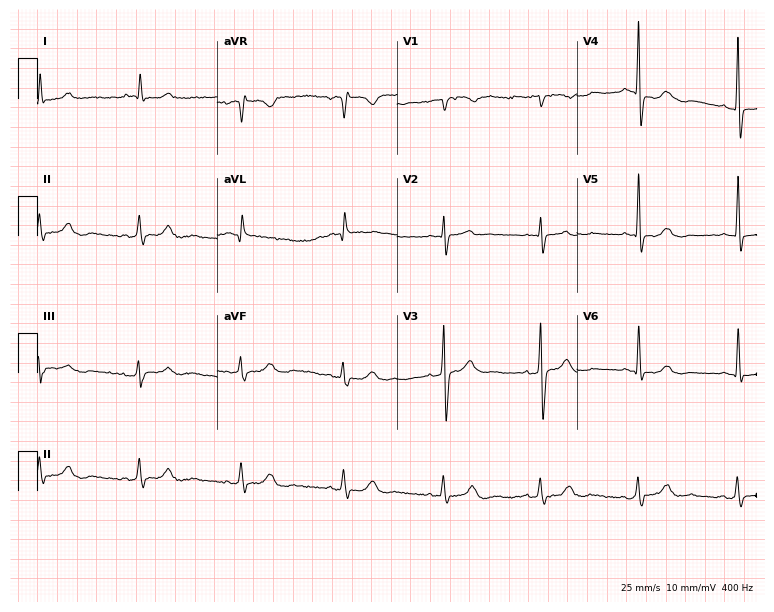
Electrocardiogram, a 74-year-old male. Of the six screened findings (first-degree AV block, right bundle branch block, left bundle branch block, sinus bradycardia, atrial fibrillation, sinus tachycardia), none is recorded.